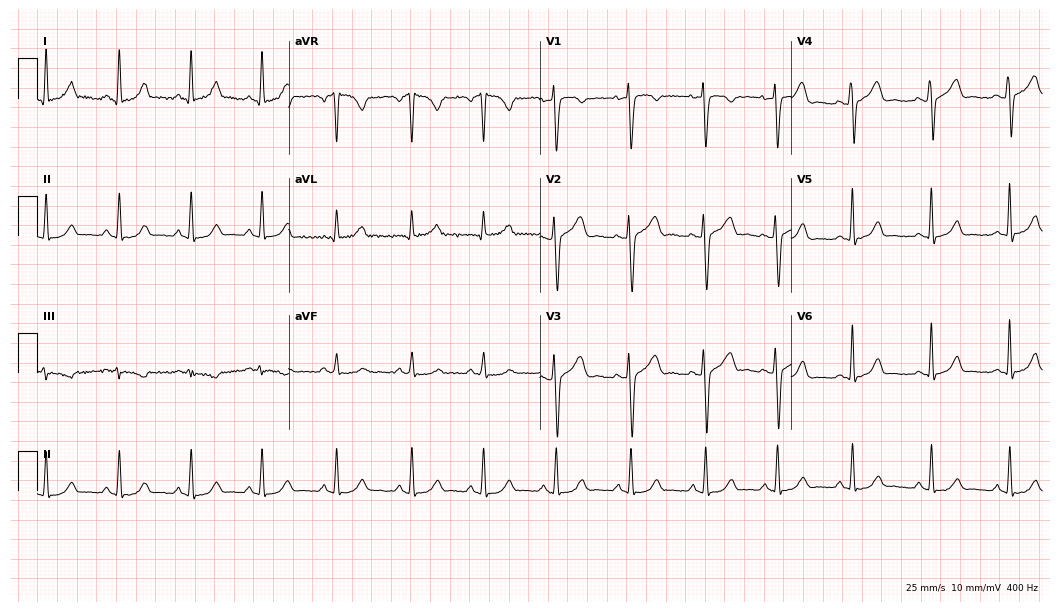
Standard 12-lead ECG recorded from a 32-year-old female patient (10.2-second recording at 400 Hz). None of these six findings is recorded: first-degree AV block, right bundle branch block, left bundle branch block, sinus bradycardia, atrial fibrillation, sinus tachycardia.